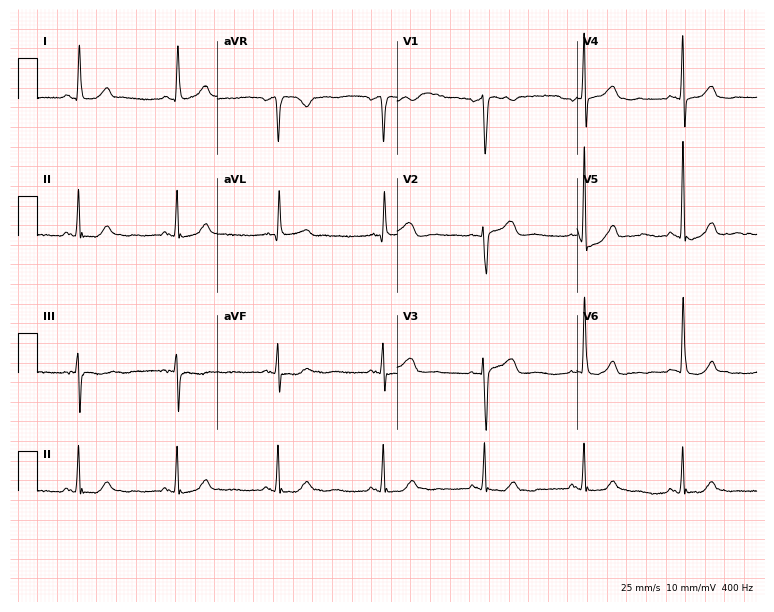
Standard 12-lead ECG recorded from a woman, 60 years old. Read as a normal ECG.